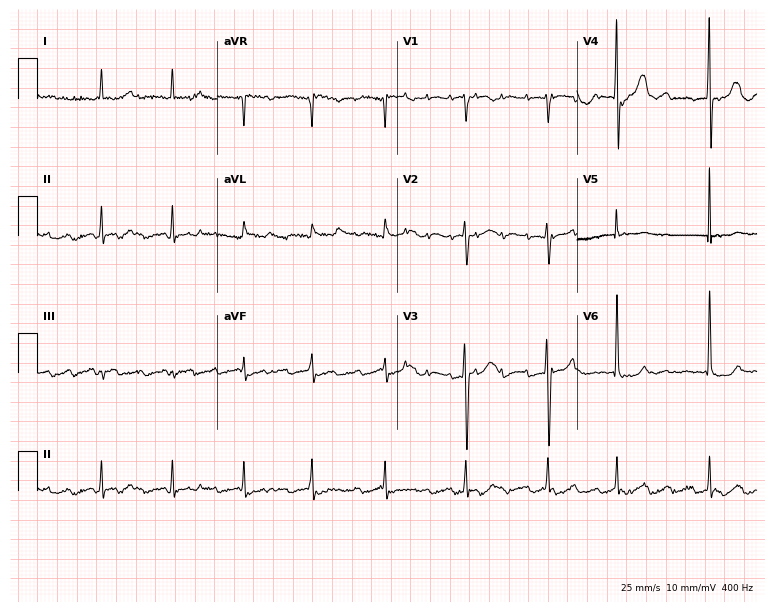
Electrocardiogram (7.3-second recording at 400 Hz), an 80-year-old female patient. Of the six screened findings (first-degree AV block, right bundle branch block (RBBB), left bundle branch block (LBBB), sinus bradycardia, atrial fibrillation (AF), sinus tachycardia), none is recorded.